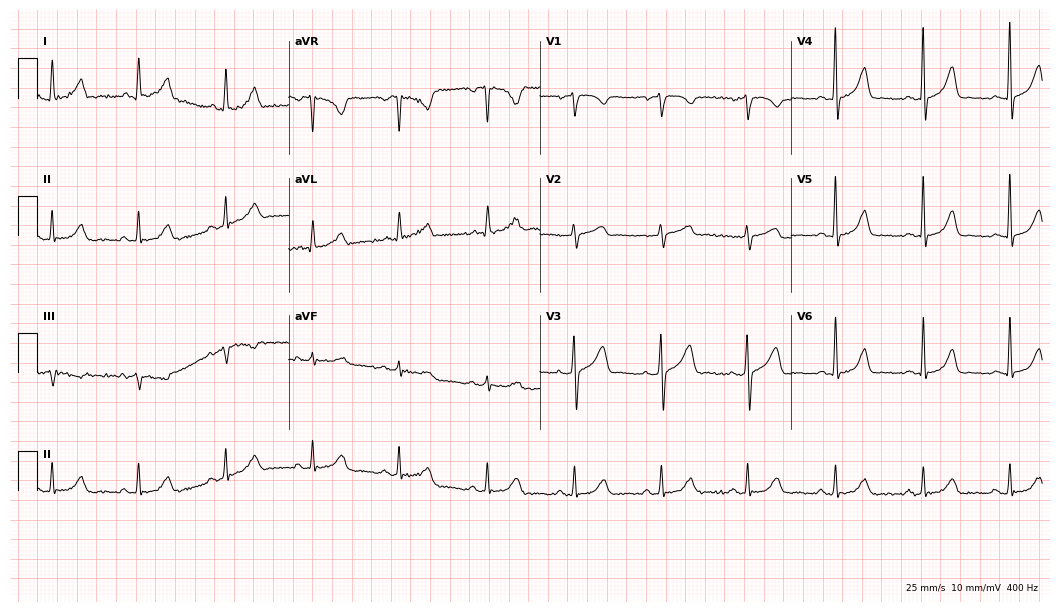
ECG (10.2-second recording at 400 Hz) — a woman, 44 years old. Labelled as a normal ECG.